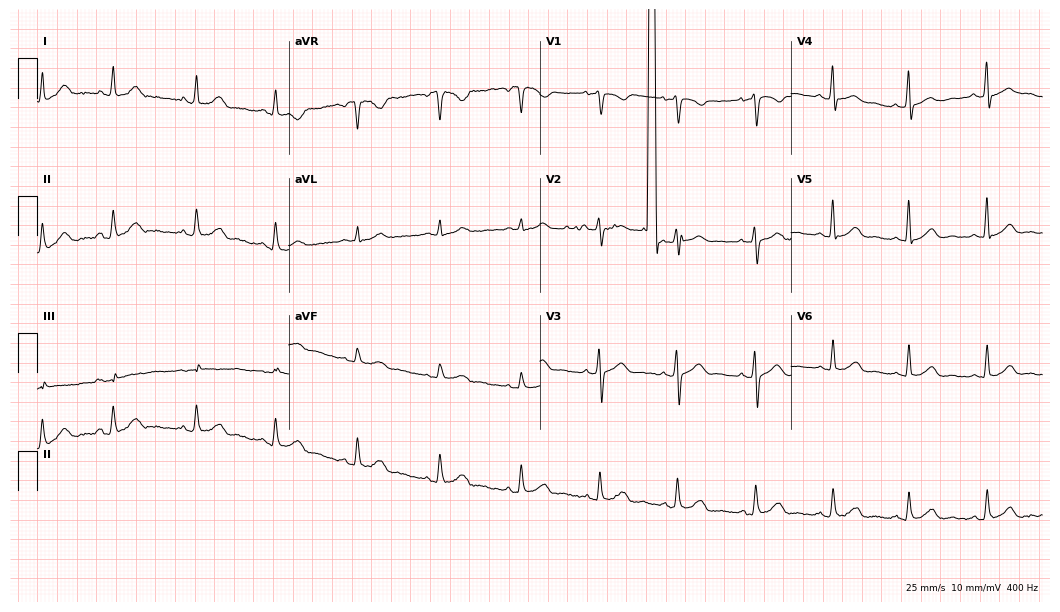
Resting 12-lead electrocardiogram. Patient: a female, 31 years old. Read as a normal ECG.